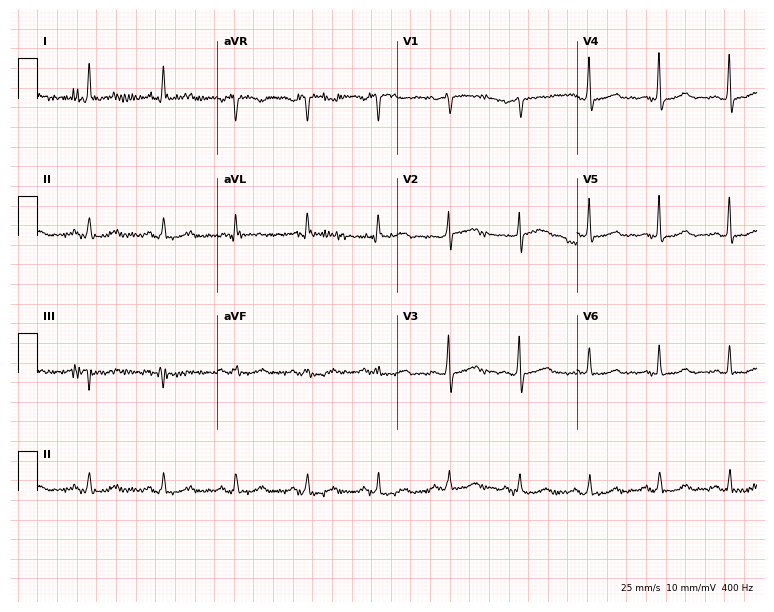
12-lead ECG from a female patient, 63 years old. Screened for six findings — first-degree AV block, right bundle branch block, left bundle branch block, sinus bradycardia, atrial fibrillation, sinus tachycardia — none is recorded.